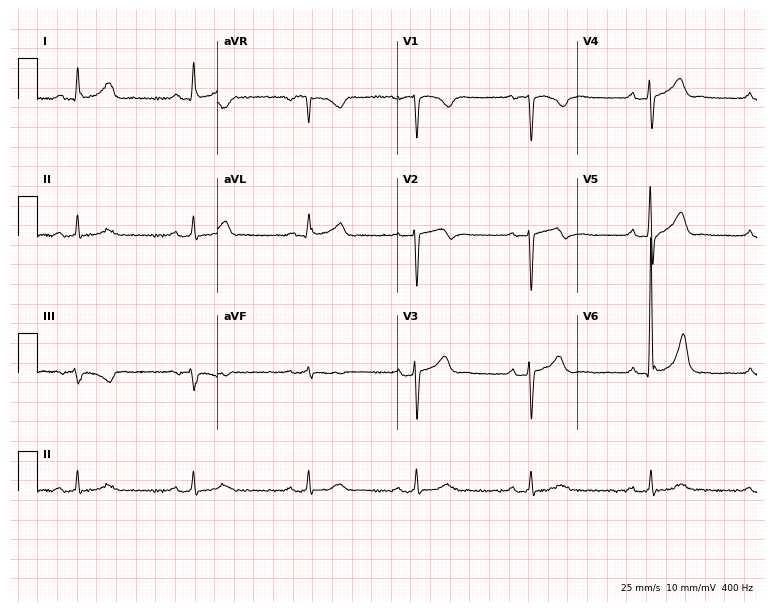
ECG (7.3-second recording at 400 Hz) — a male, 54 years old. Labelled as a normal ECG.